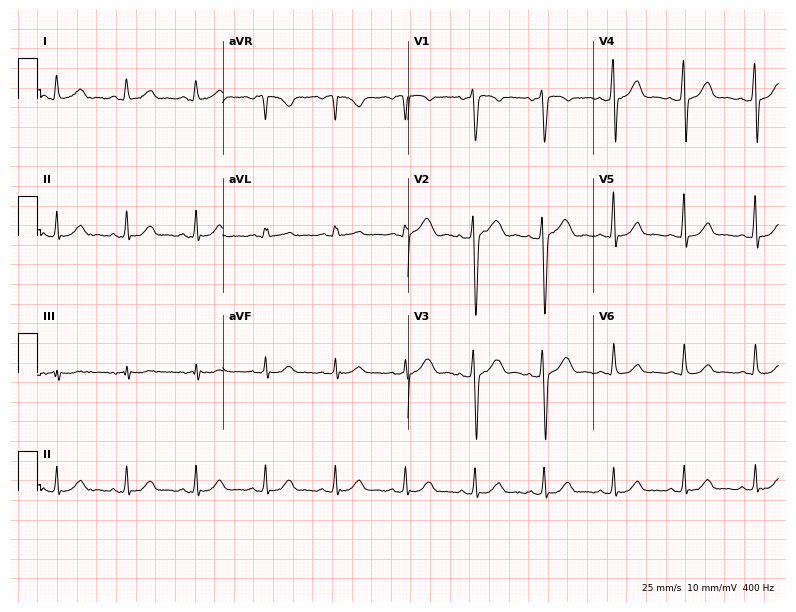
Resting 12-lead electrocardiogram (7.6-second recording at 400 Hz). Patient: a woman, 45 years old. None of these six findings is recorded: first-degree AV block, right bundle branch block (RBBB), left bundle branch block (LBBB), sinus bradycardia, atrial fibrillation (AF), sinus tachycardia.